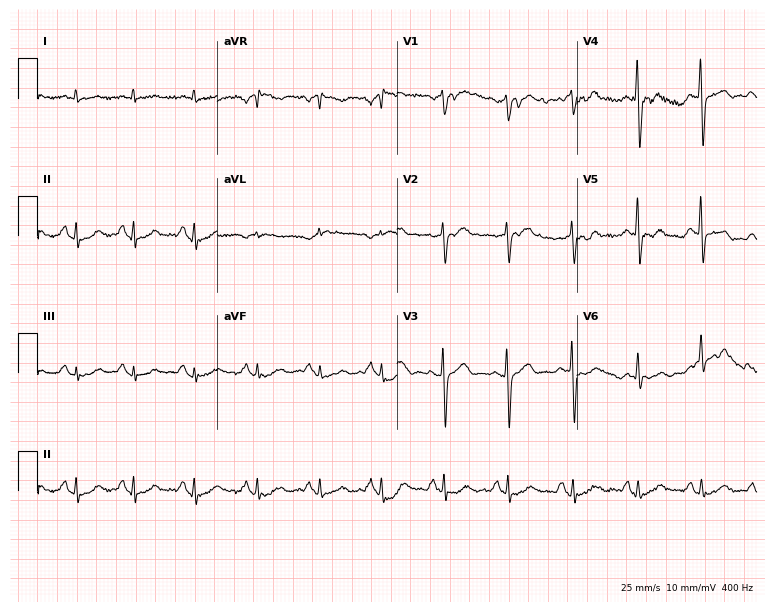
Resting 12-lead electrocardiogram. Patient: a 70-year-old male. Read as a normal ECG.